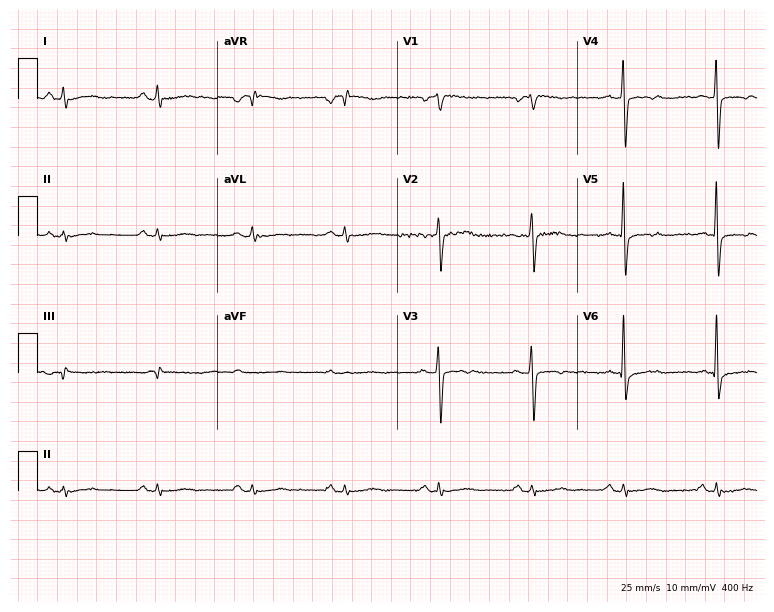
Resting 12-lead electrocardiogram (7.3-second recording at 400 Hz). Patient: a man, 68 years old. None of these six findings is recorded: first-degree AV block, right bundle branch block, left bundle branch block, sinus bradycardia, atrial fibrillation, sinus tachycardia. Findings outside these six are not listed.